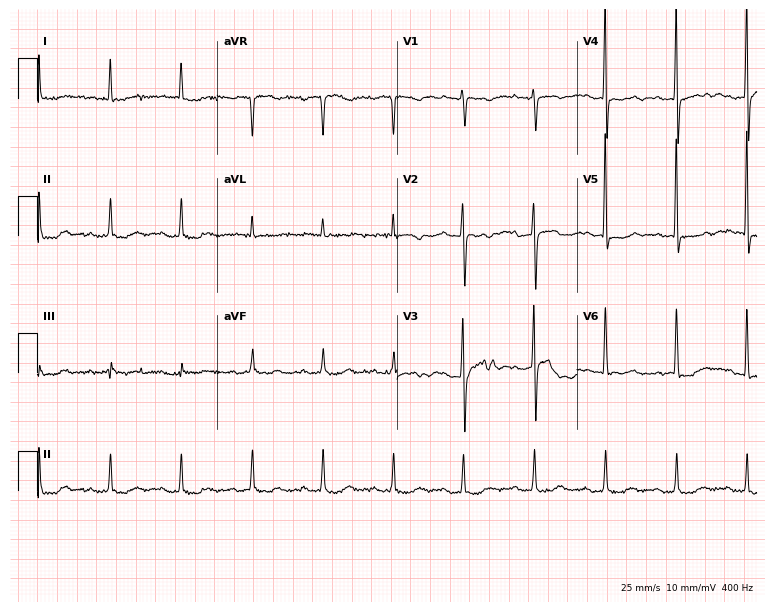
12-lead ECG (7.3-second recording at 400 Hz) from a female, 77 years old. Screened for six findings — first-degree AV block, right bundle branch block, left bundle branch block, sinus bradycardia, atrial fibrillation, sinus tachycardia — none is recorded.